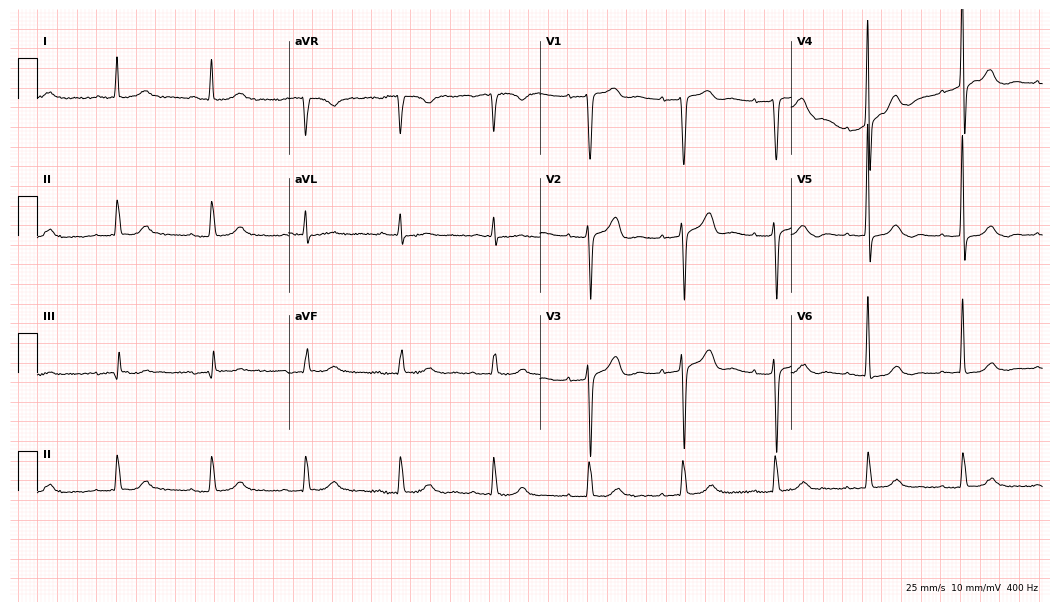
Resting 12-lead electrocardiogram (10.2-second recording at 400 Hz). Patient: a female, 80 years old. None of these six findings is recorded: first-degree AV block, right bundle branch block, left bundle branch block, sinus bradycardia, atrial fibrillation, sinus tachycardia.